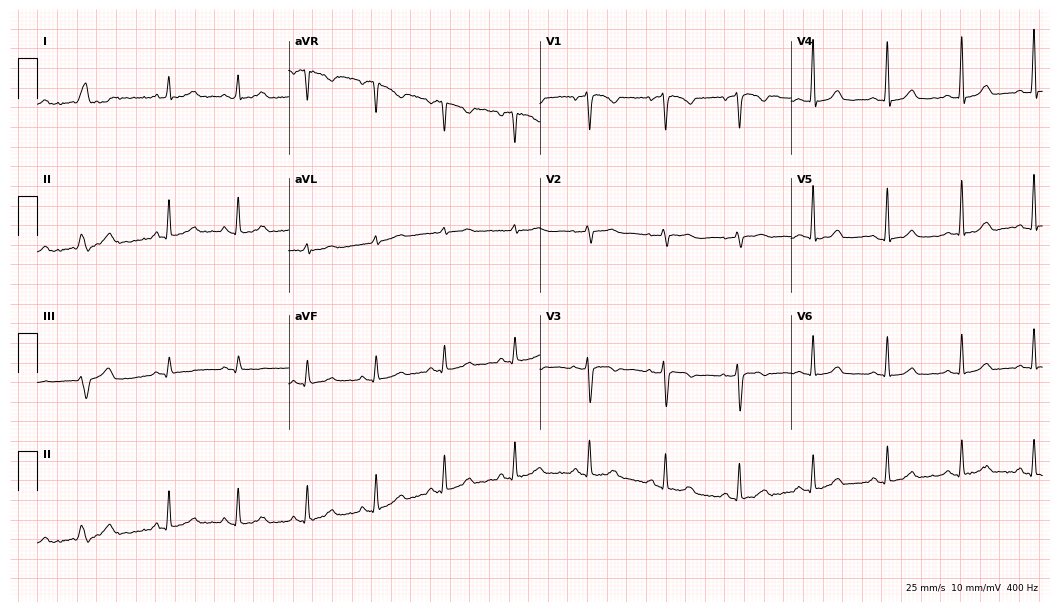
ECG (10.2-second recording at 400 Hz) — a female, 49 years old. Labelled as a normal ECG.